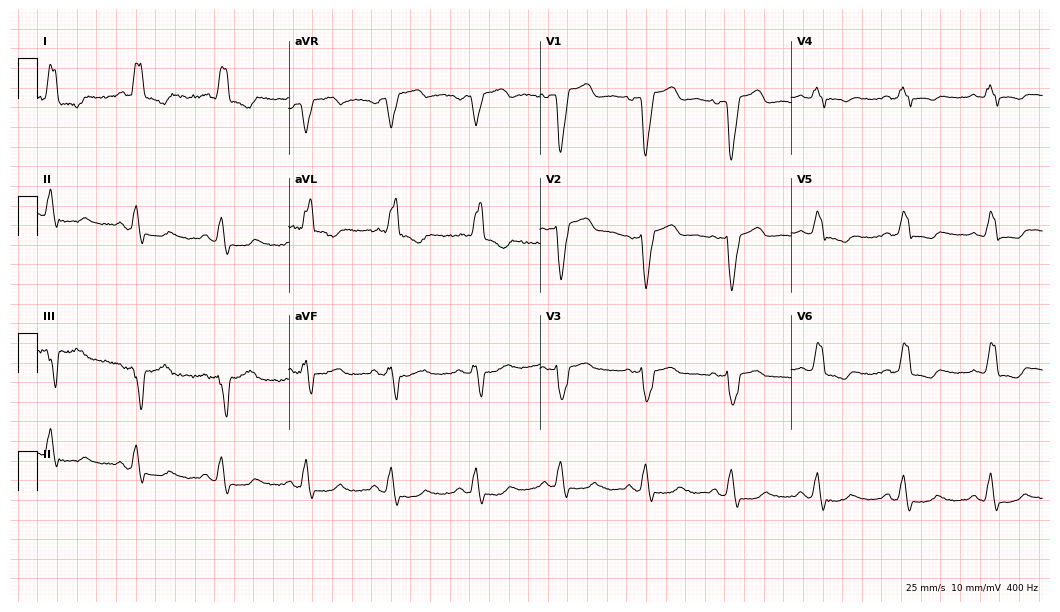
Electrocardiogram, a 70-year-old female patient. Interpretation includes left bundle branch block.